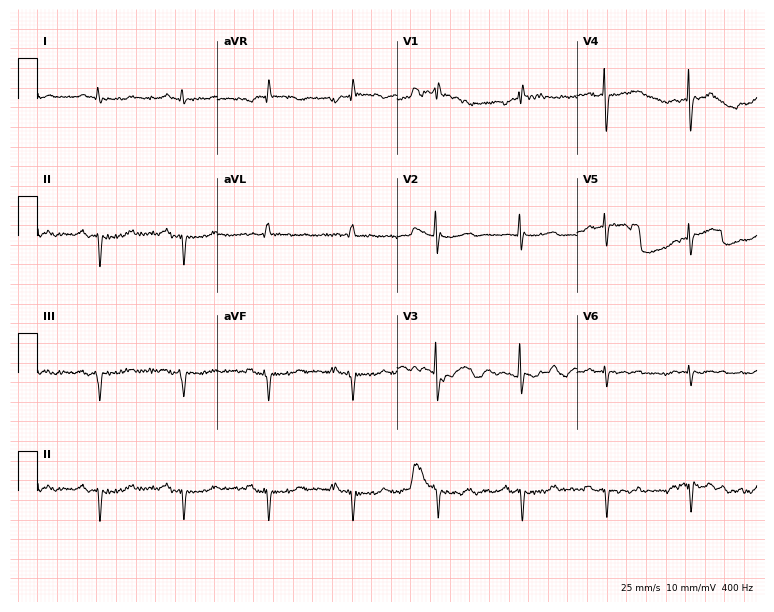
Resting 12-lead electrocardiogram. Patient: a female, 72 years old. None of these six findings is recorded: first-degree AV block, right bundle branch block (RBBB), left bundle branch block (LBBB), sinus bradycardia, atrial fibrillation (AF), sinus tachycardia.